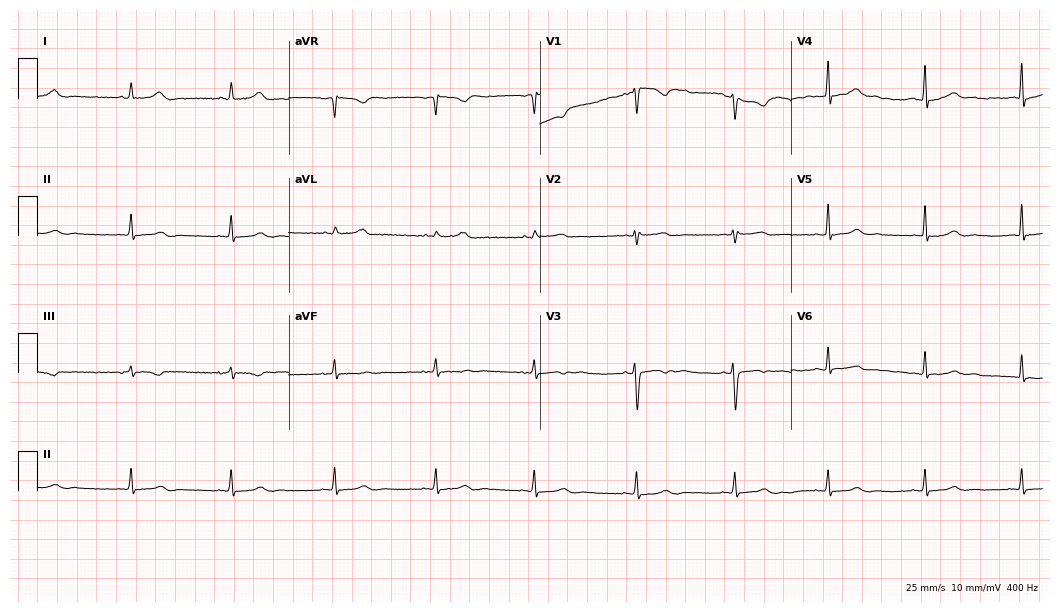
12-lead ECG from a 40-year-old woman. No first-degree AV block, right bundle branch block (RBBB), left bundle branch block (LBBB), sinus bradycardia, atrial fibrillation (AF) or sinus tachycardia recorded for this tracing.